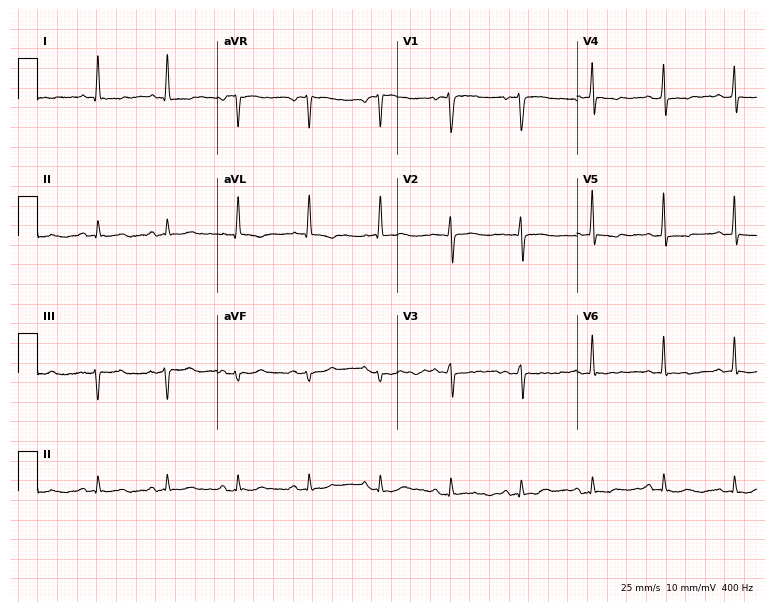
Resting 12-lead electrocardiogram (7.3-second recording at 400 Hz). Patient: a female, 57 years old. None of these six findings is recorded: first-degree AV block, right bundle branch block, left bundle branch block, sinus bradycardia, atrial fibrillation, sinus tachycardia. Other findings, if any, are not listed.